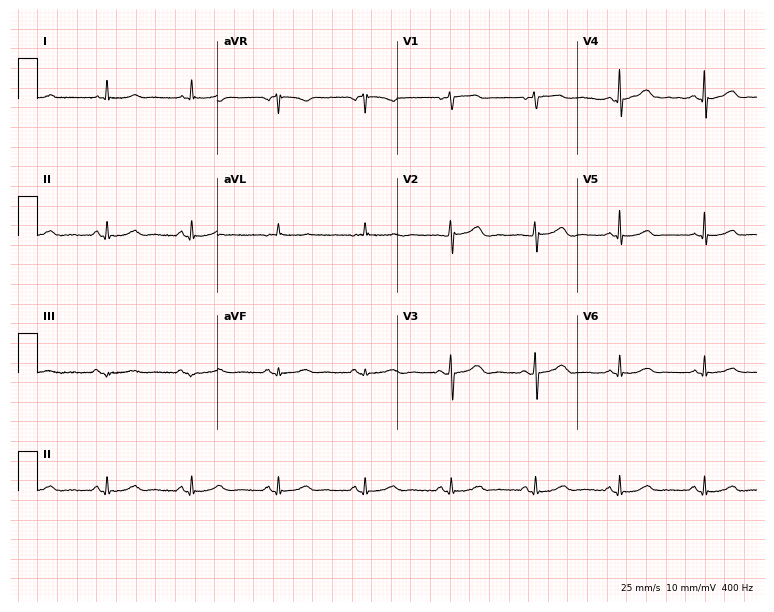
Standard 12-lead ECG recorded from a female patient, 77 years old (7.3-second recording at 400 Hz). Read as a normal ECG.